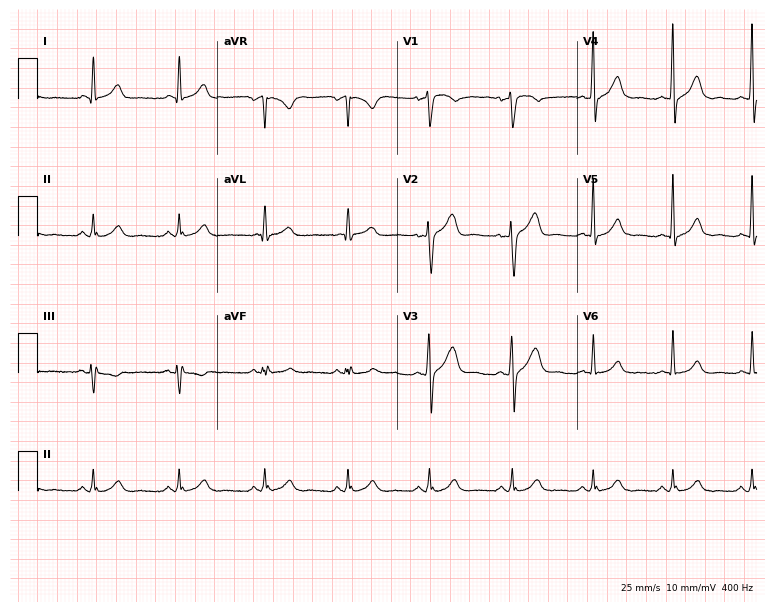
ECG — a 31-year-old female patient. Labelled as a normal ECG.